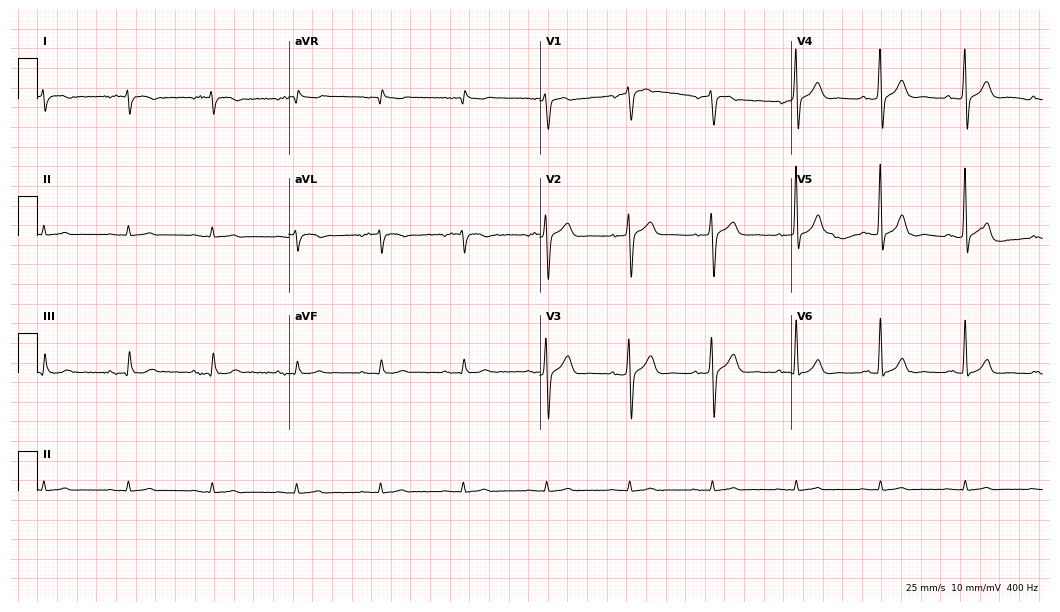
Electrocardiogram, a man, 72 years old. Of the six screened findings (first-degree AV block, right bundle branch block, left bundle branch block, sinus bradycardia, atrial fibrillation, sinus tachycardia), none is recorded.